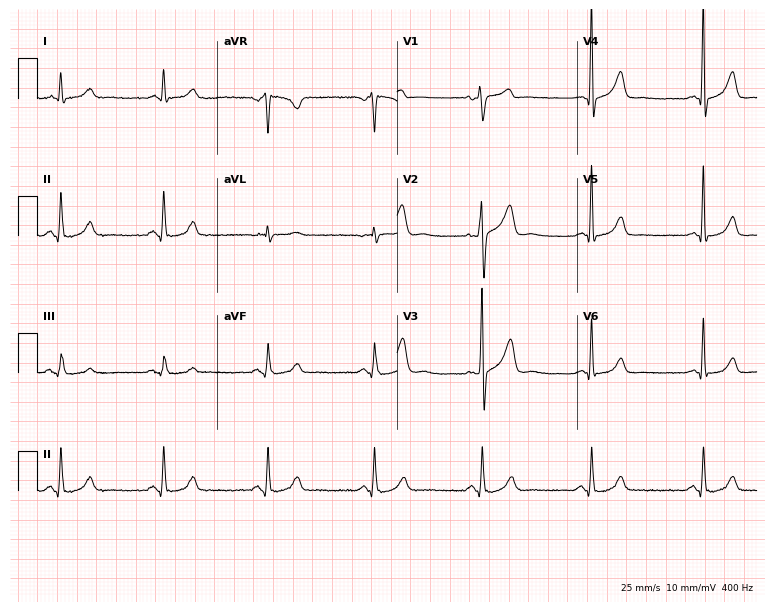
12-lead ECG (7.3-second recording at 400 Hz) from a male, 67 years old. Screened for six findings — first-degree AV block, right bundle branch block (RBBB), left bundle branch block (LBBB), sinus bradycardia, atrial fibrillation (AF), sinus tachycardia — none is recorded. Findings outside these six are not listed.